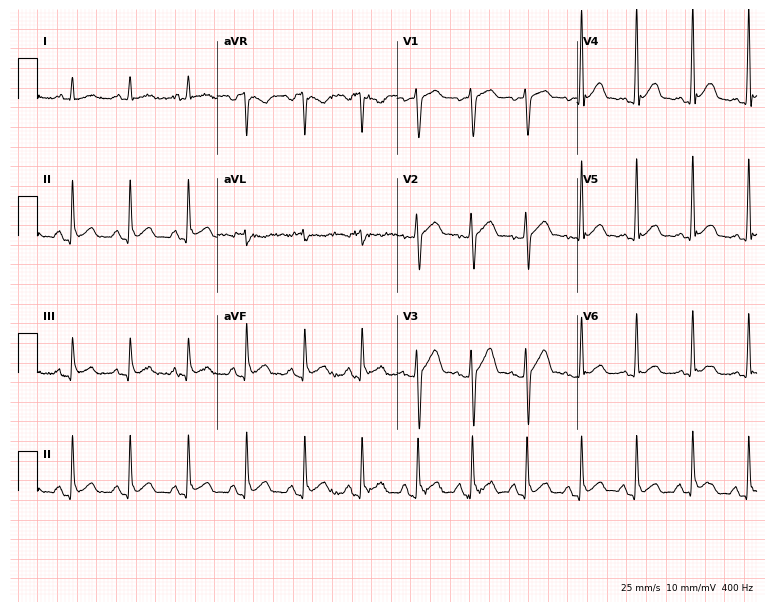
Standard 12-lead ECG recorded from a 48-year-old man (7.3-second recording at 400 Hz). None of these six findings is recorded: first-degree AV block, right bundle branch block, left bundle branch block, sinus bradycardia, atrial fibrillation, sinus tachycardia. Other findings, if any, are not listed.